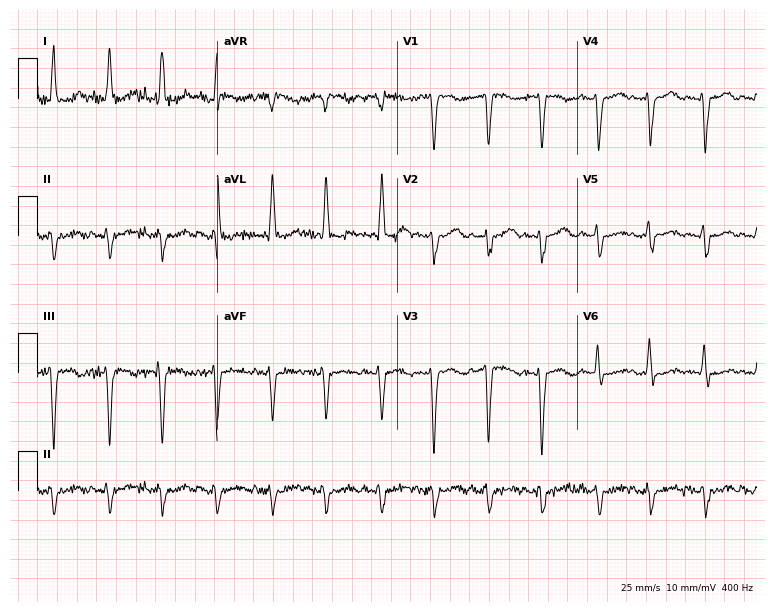
12-lead ECG from a woman, 79 years old. Shows sinus tachycardia (a sinus rate of 100 beats per minute or more).